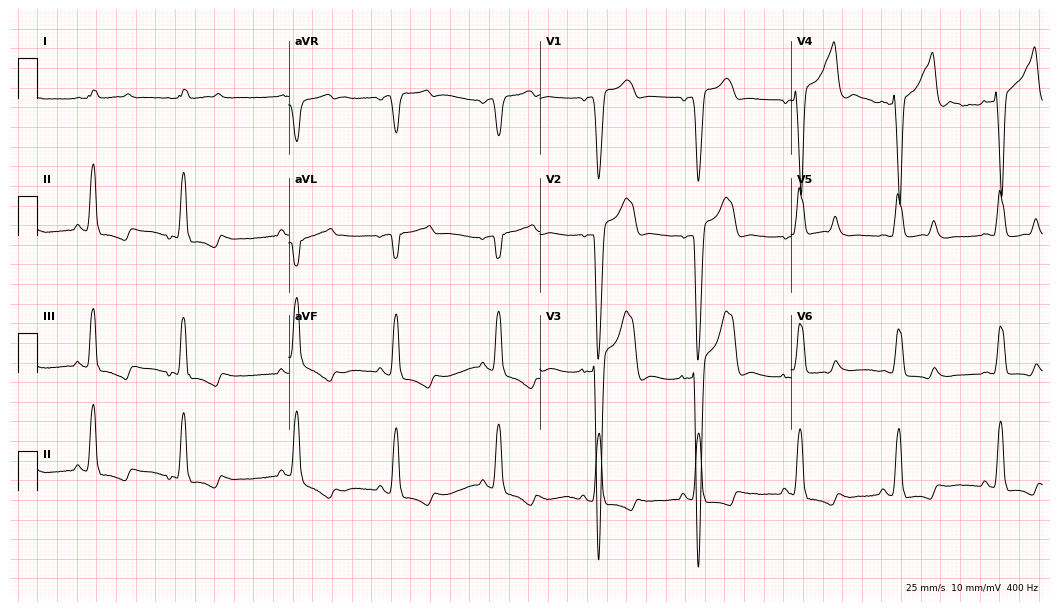
12-lead ECG (10.2-second recording at 400 Hz) from a man, 69 years old. Findings include left bundle branch block (LBBB).